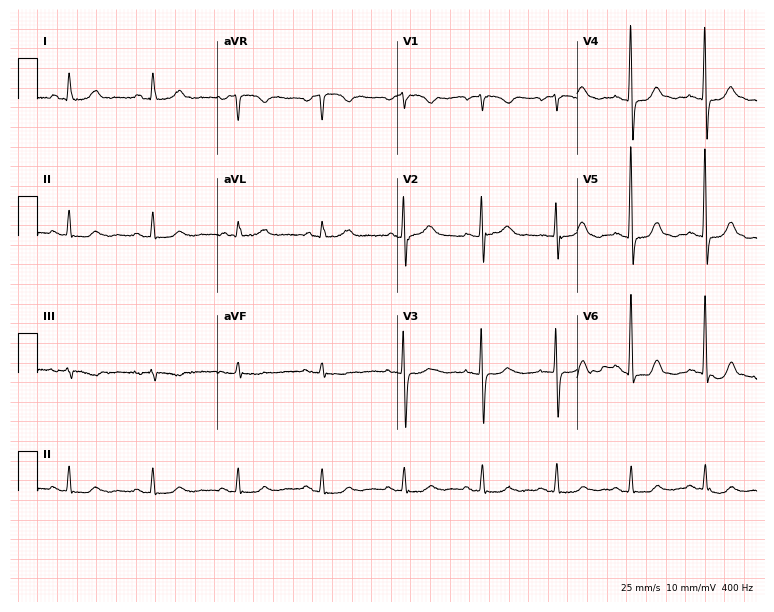
12-lead ECG from a female patient, 75 years old. Recorded interpretation: within normal limits.